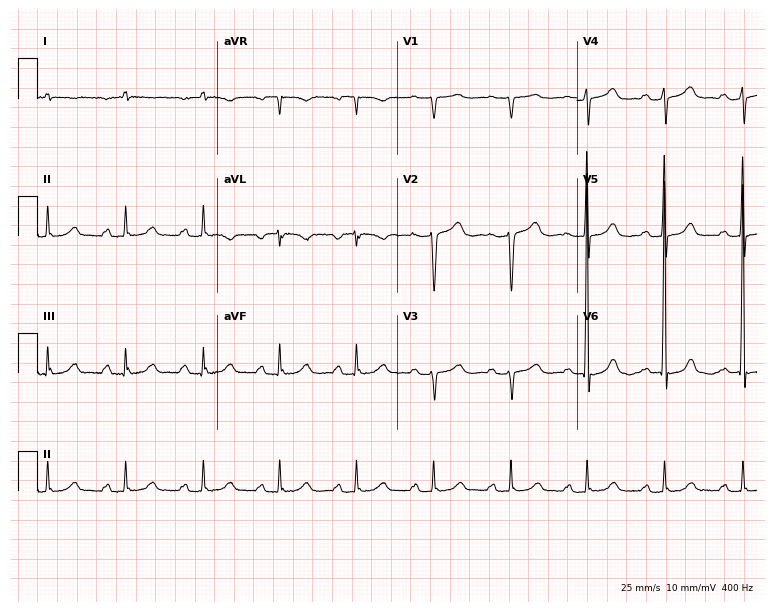
ECG — a woman, 69 years old. Labelled as a normal ECG.